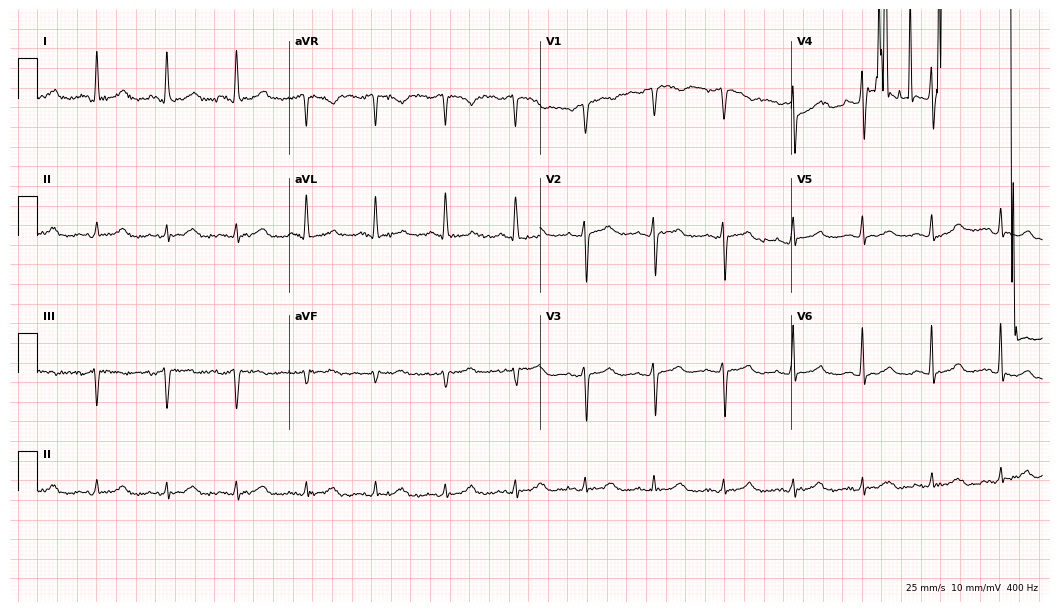
Electrocardiogram, a 57-year-old woman. Of the six screened findings (first-degree AV block, right bundle branch block, left bundle branch block, sinus bradycardia, atrial fibrillation, sinus tachycardia), none is recorded. Other findings, if any, are not listed.